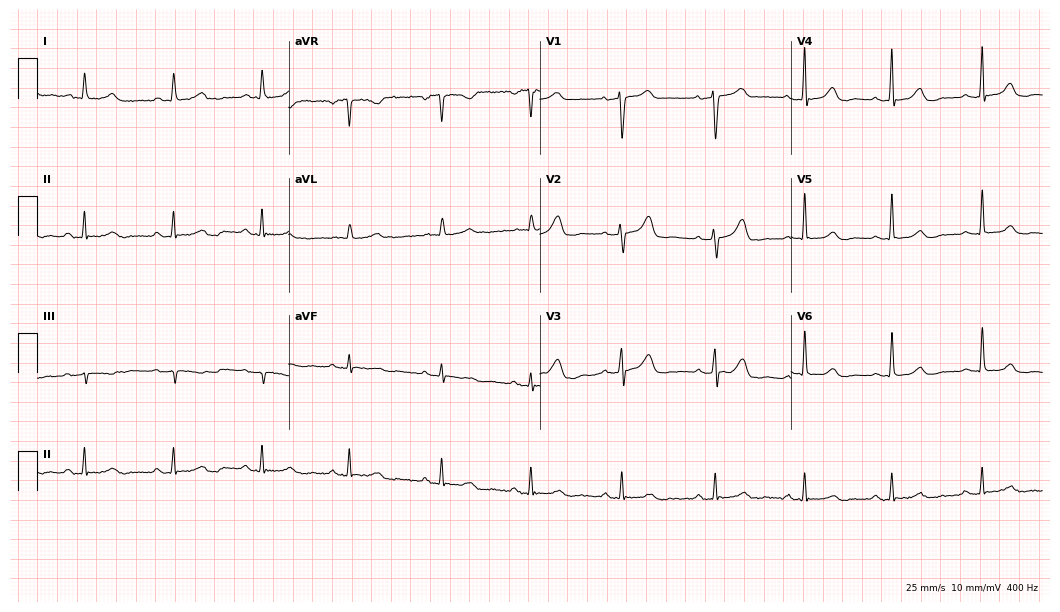
12-lead ECG (10.2-second recording at 400 Hz) from a 69-year-old female. Labelled as a normal ECG.